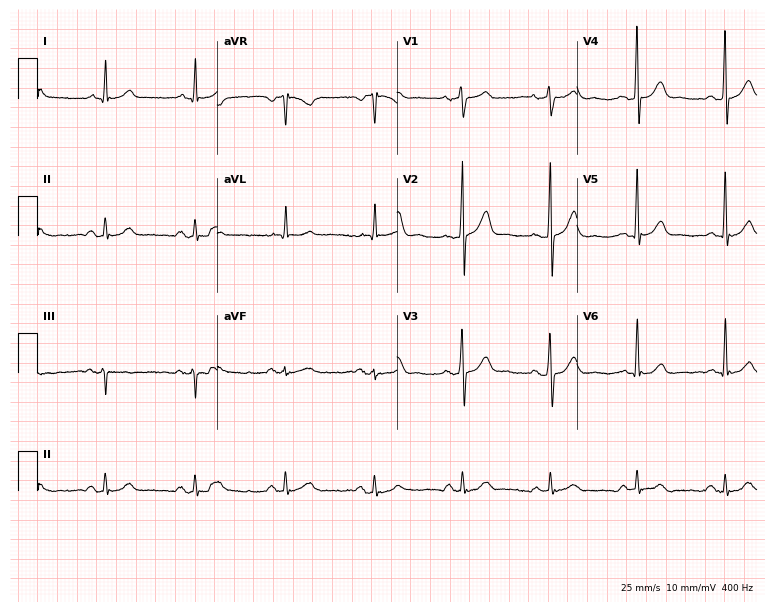
ECG — a 70-year-old male. Labelled as a normal ECG.